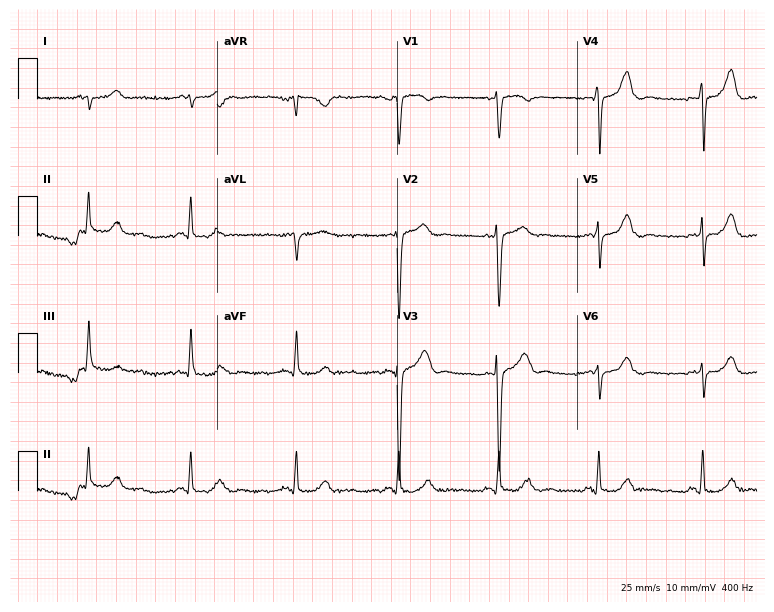
12-lead ECG (7.3-second recording at 400 Hz) from a 47-year-old male. Screened for six findings — first-degree AV block, right bundle branch block, left bundle branch block, sinus bradycardia, atrial fibrillation, sinus tachycardia — none is recorded. Only these six findings were labelled.